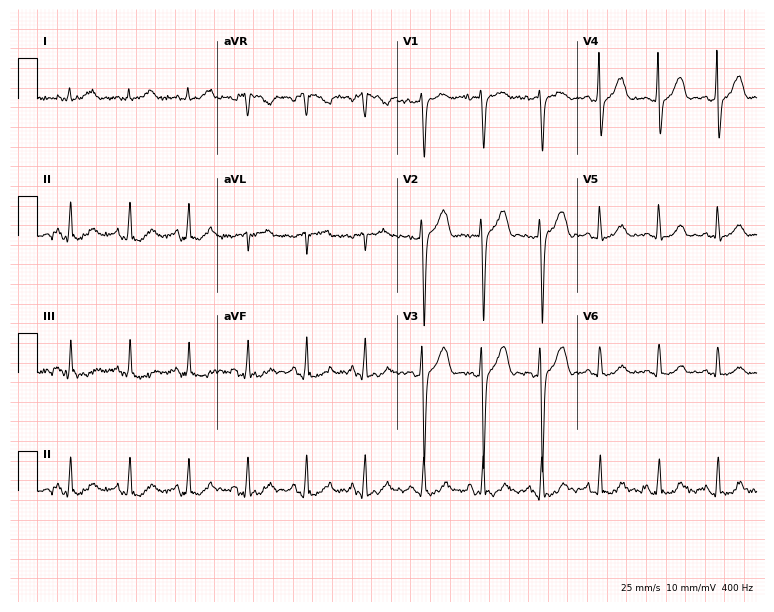
ECG — a 50-year-old female patient. Labelled as a normal ECG.